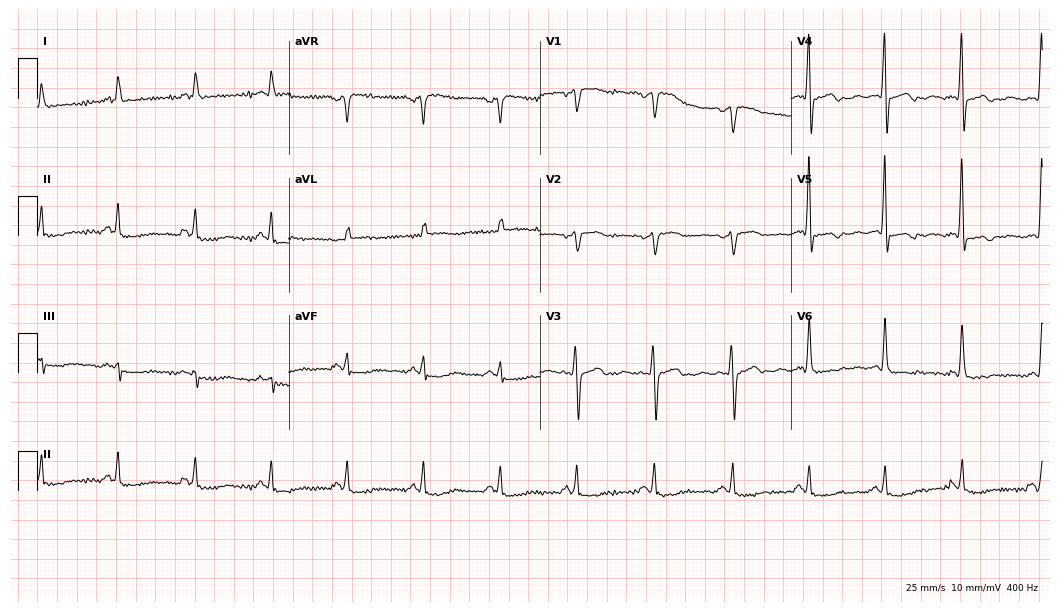
Standard 12-lead ECG recorded from a 63-year-old female patient. None of these six findings is recorded: first-degree AV block, right bundle branch block (RBBB), left bundle branch block (LBBB), sinus bradycardia, atrial fibrillation (AF), sinus tachycardia.